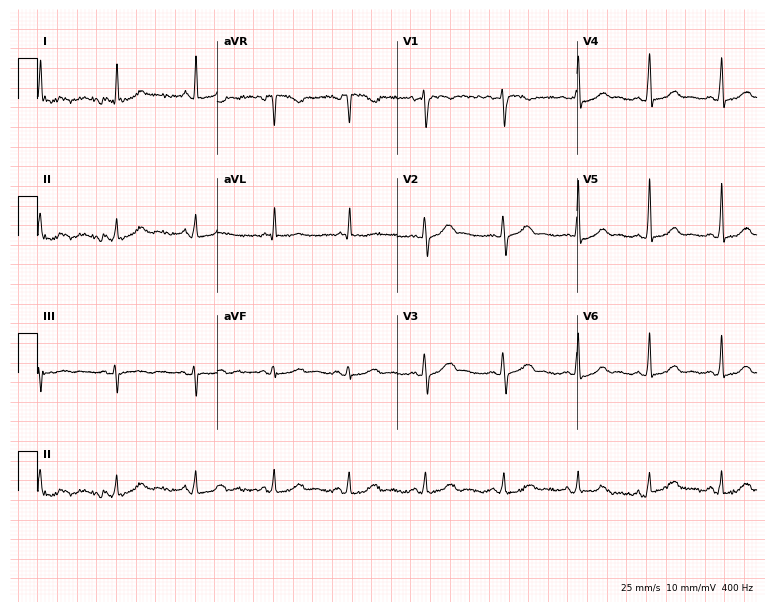
Standard 12-lead ECG recorded from a 44-year-old woman. None of these six findings is recorded: first-degree AV block, right bundle branch block, left bundle branch block, sinus bradycardia, atrial fibrillation, sinus tachycardia.